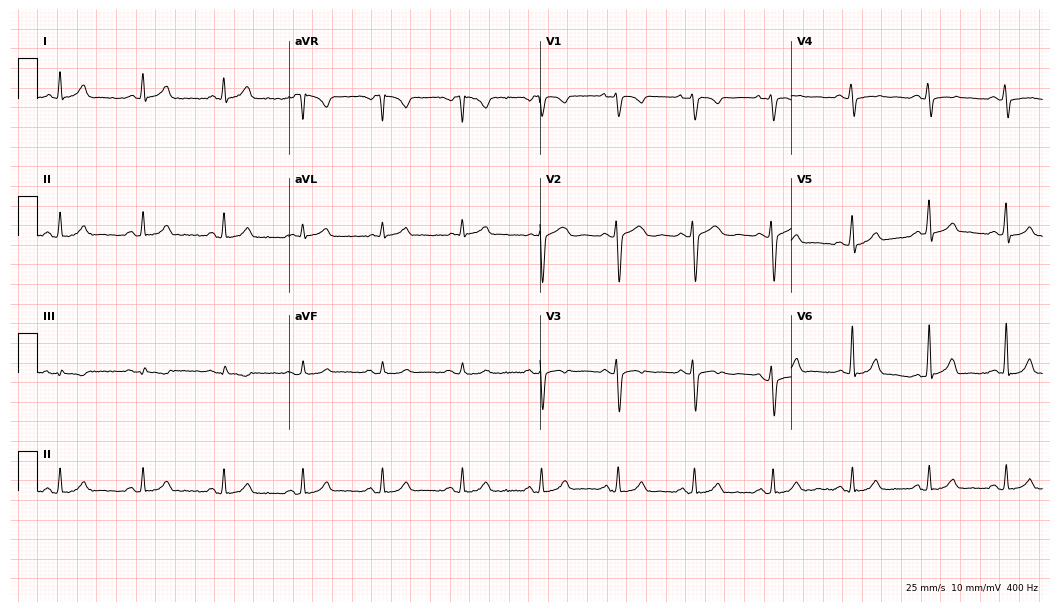
12-lead ECG (10.2-second recording at 400 Hz) from a female patient, 35 years old. Labelled as a normal ECG.